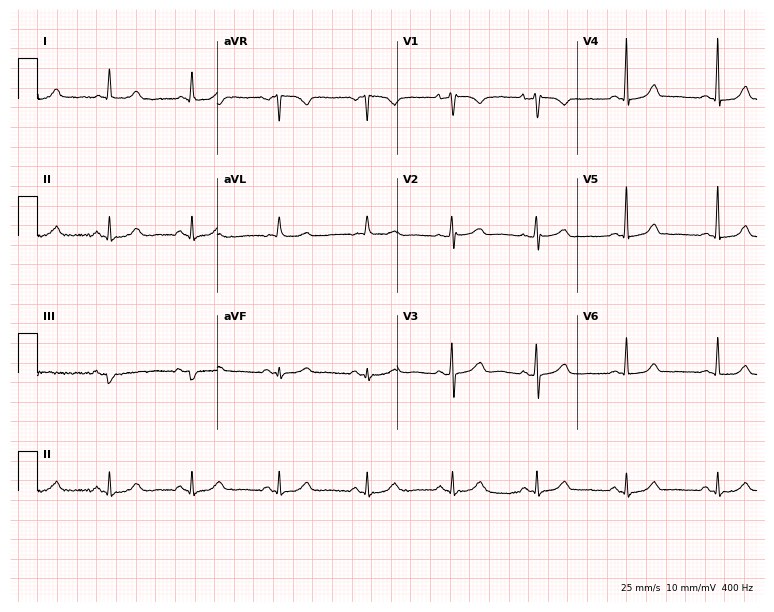
12-lead ECG from a 59-year-old female patient. No first-degree AV block, right bundle branch block, left bundle branch block, sinus bradycardia, atrial fibrillation or sinus tachycardia recorded for this tracing.